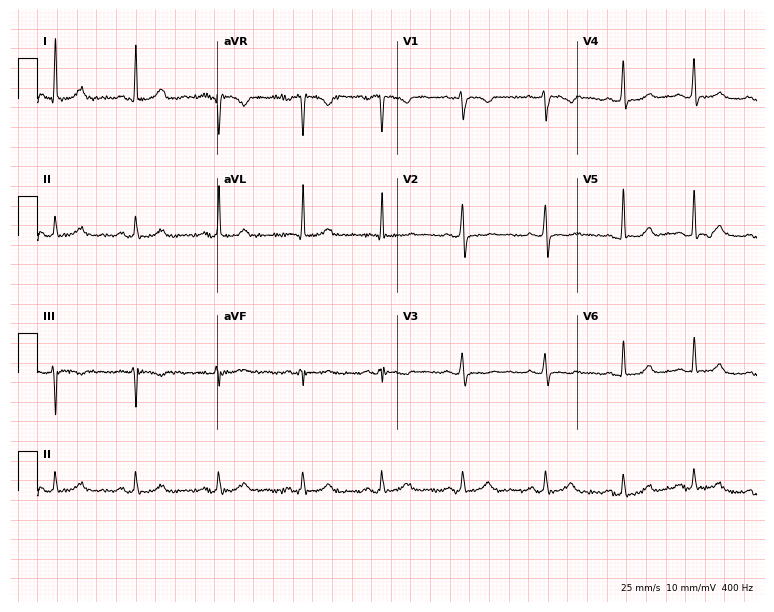
Electrocardiogram, a 39-year-old female patient. Overall reading on record: normal ECG.